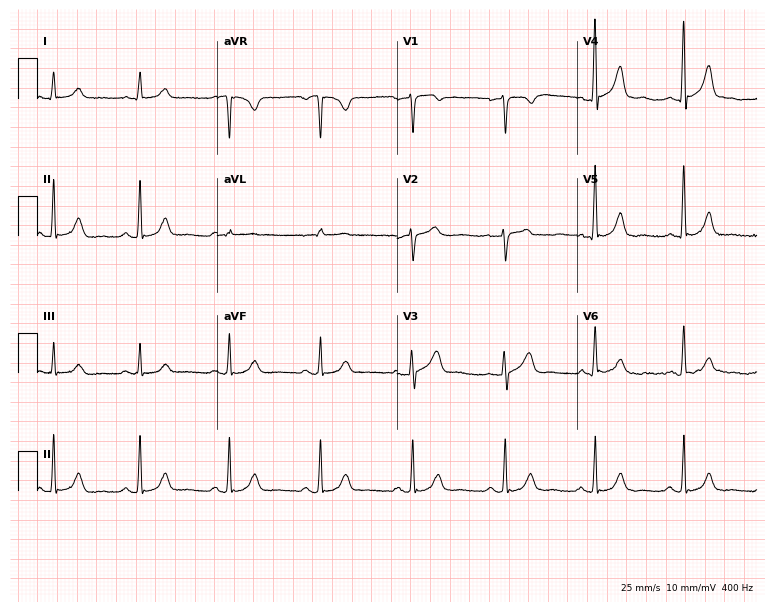
ECG (7.3-second recording at 400 Hz) — a male patient, 62 years old. Screened for six findings — first-degree AV block, right bundle branch block, left bundle branch block, sinus bradycardia, atrial fibrillation, sinus tachycardia — none is recorded.